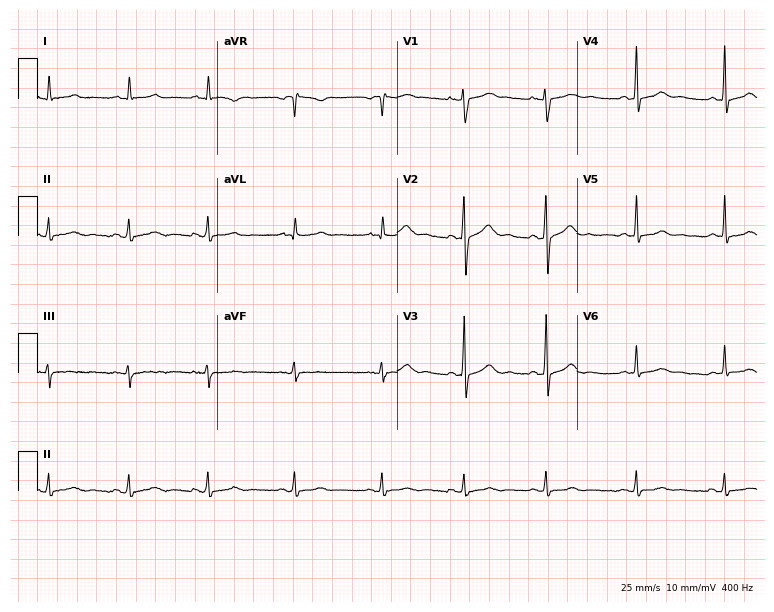
Electrocardiogram (7.3-second recording at 400 Hz), a female patient, 26 years old. Of the six screened findings (first-degree AV block, right bundle branch block, left bundle branch block, sinus bradycardia, atrial fibrillation, sinus tachycardia), none is recorded.